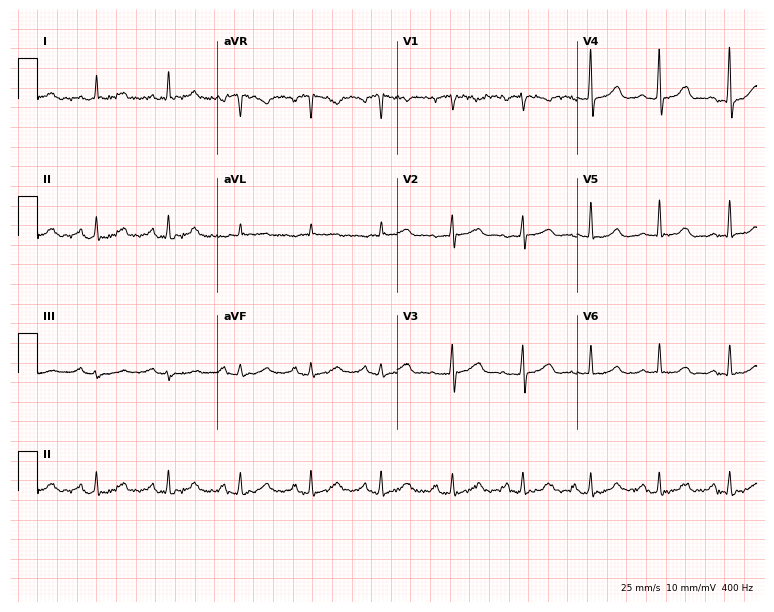
Electrocardiogram, a 58-year-old female patient. Overall reading on record: normal ECG.